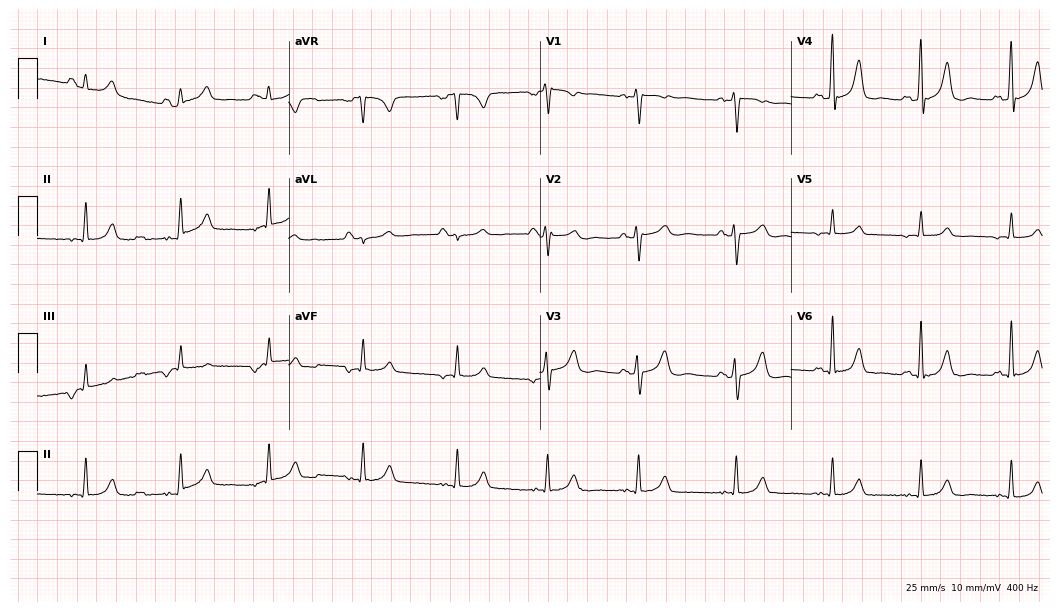
Electrocardiogram, a male patient, 45 years old. Overall reading on record: normal ECG.